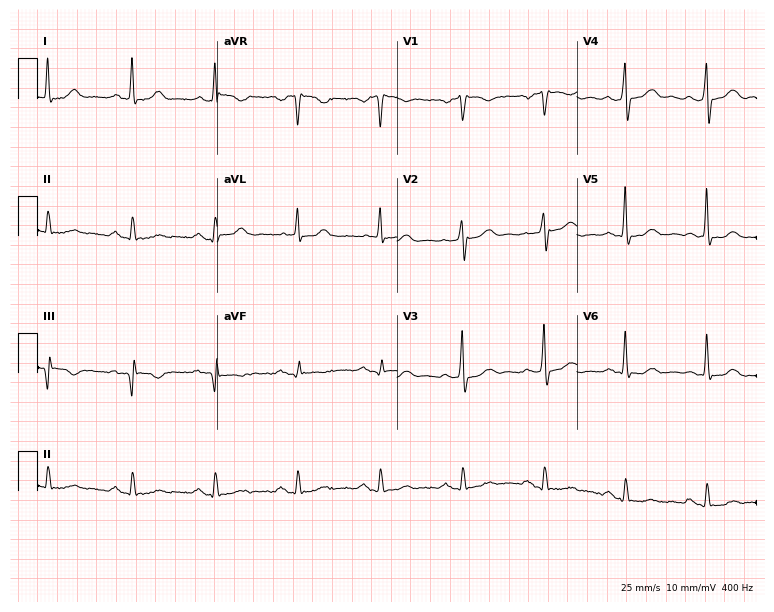
Resting 12-lead electrocardiogram (7.3-second recording at 400 Hz). Patient: a 60-year-old male. None of these six findings is recorded: first-degree AV block, right bundle branch block (RBBB), left bundle branch block (LBBB), sinus bradycardia, atrial fibrillation (AF), sinus tachycardia.